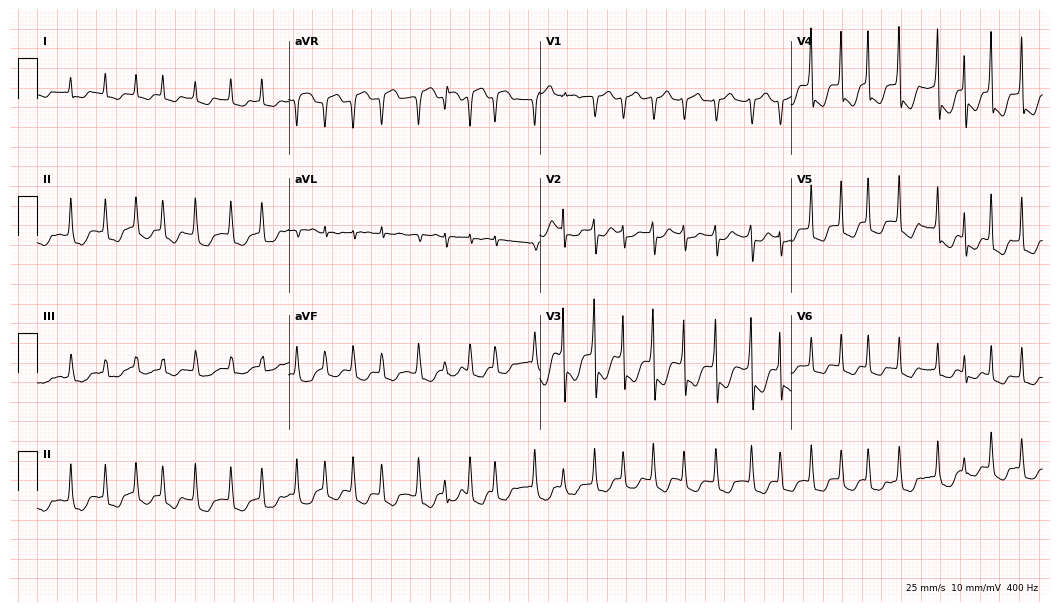
12-lead ECG from a 66-year-old man. Findings include atrial fibrillation.